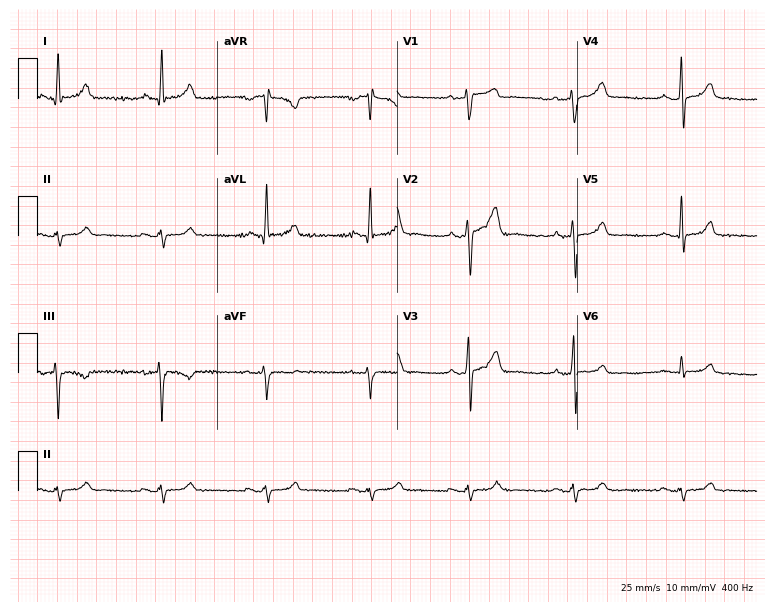
Standard 12-lead ECG recorded from a man, 41 years old. None of these six findings is recorded: first-degree AV block, right bundle branch block (RBBB), left bundle branch block (LBBB), sinus bradycardia, atrial fibrillation (AF), sinus tachycardia.